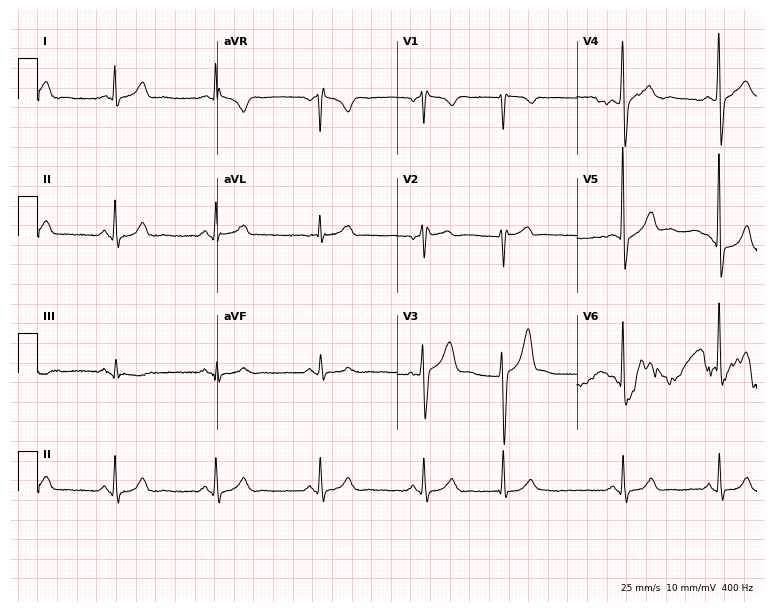
Standard 12-lead ECG recorded from a 55-year-old male patient (7.3-second recording at 400 Hz). None of these six findings is recorded: first-degree AV block, right bundle branch block, left bundle branch block, sinus bradycardia, atrial fibrillation, sinus tachycardia.